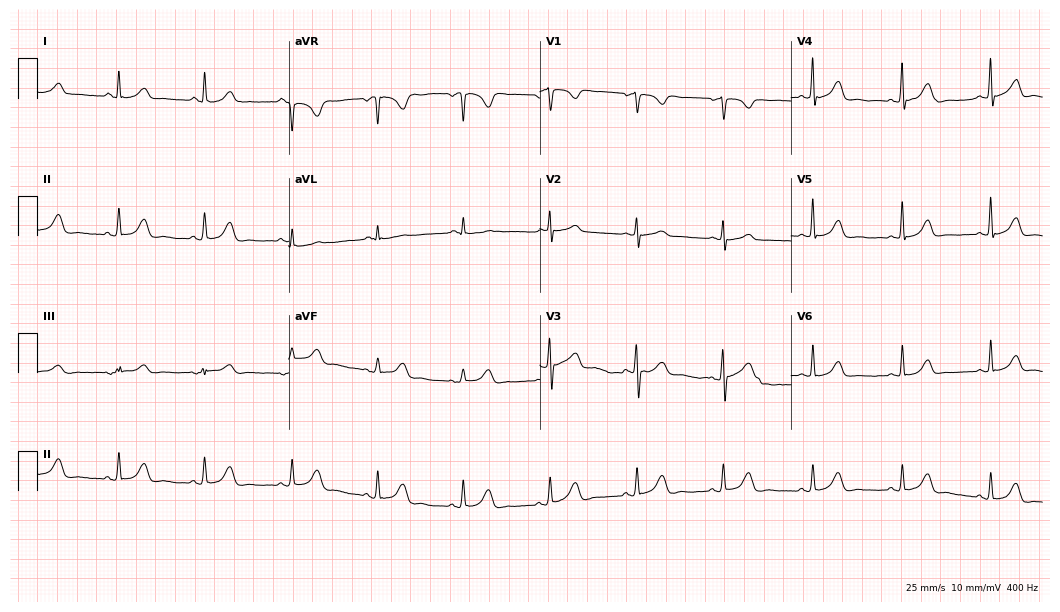
Resting 12-lead electrocardiogram (10.2-second recording at 400 Hz). Patient: a 65-year-old woman. Read as a normal ECG.